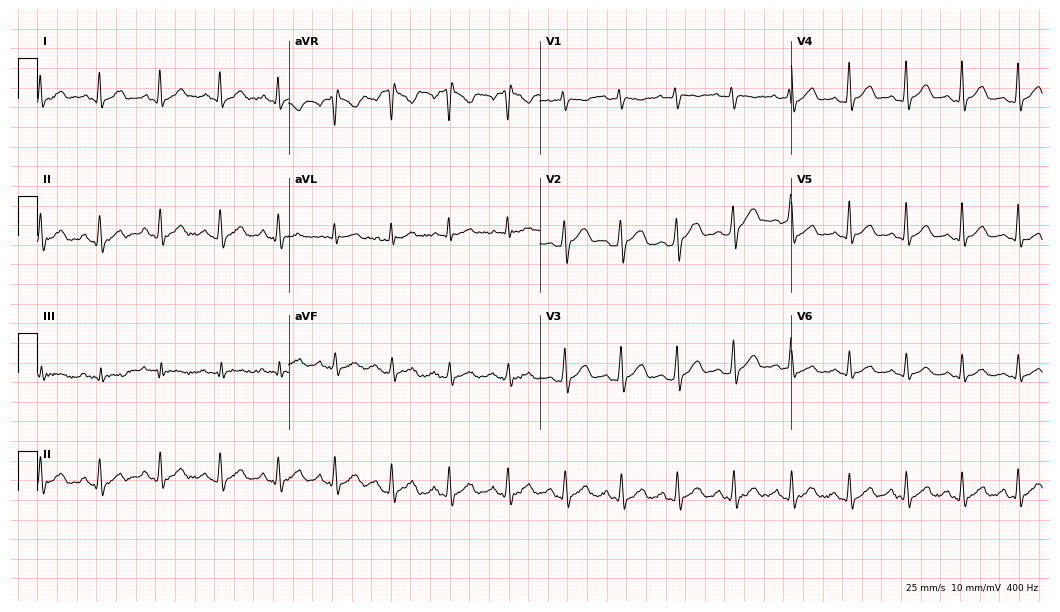
Resting 12-lead electrocardiogram (10.2-second recording at 400 Hz). Patient: a 31-year-old male. The tracing shows sinus tachycardia (a sinus rate of 100 beats per minute or more).